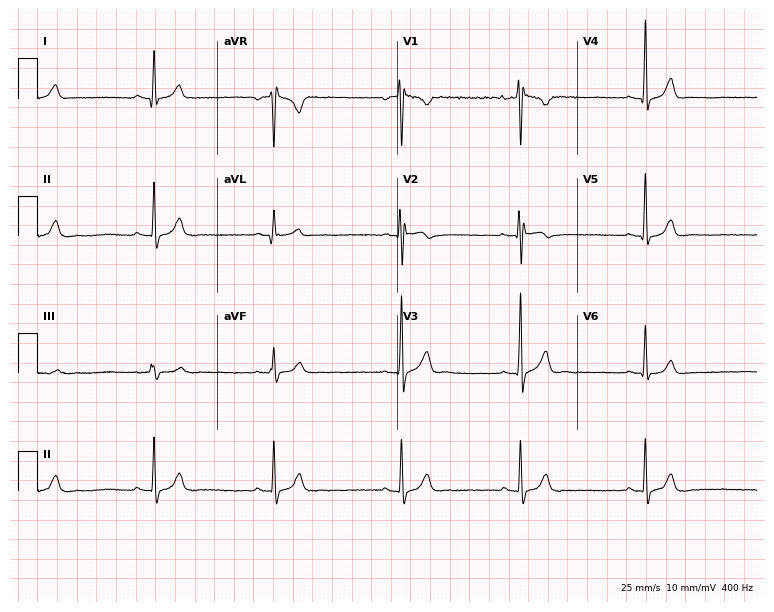
ECG — a 32-year-old male. Findings include sinus bradycardia (a sinus rate of 50 beats per minute or less).